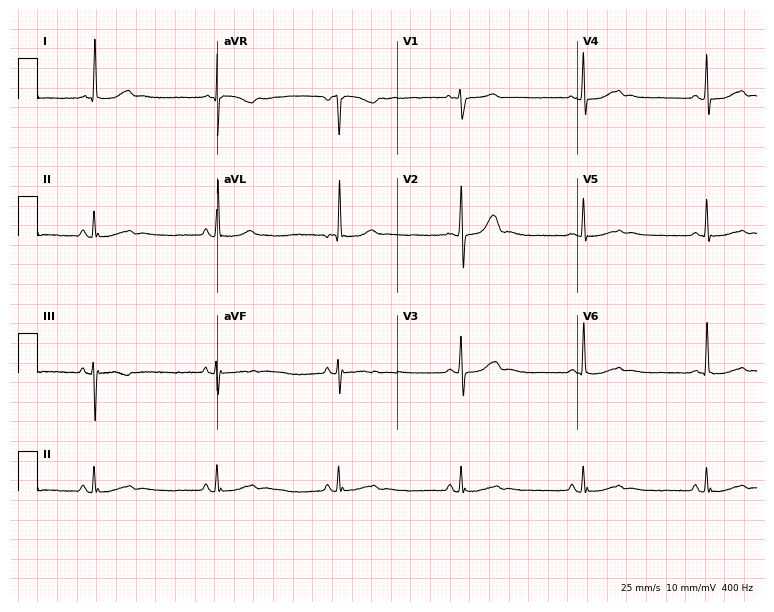
Resting 12-lead electrocardiogram. Patient: a 79-year-old female. The tracing shows sinus bradycardia (a sinus rate of 50 beats per minute or less).